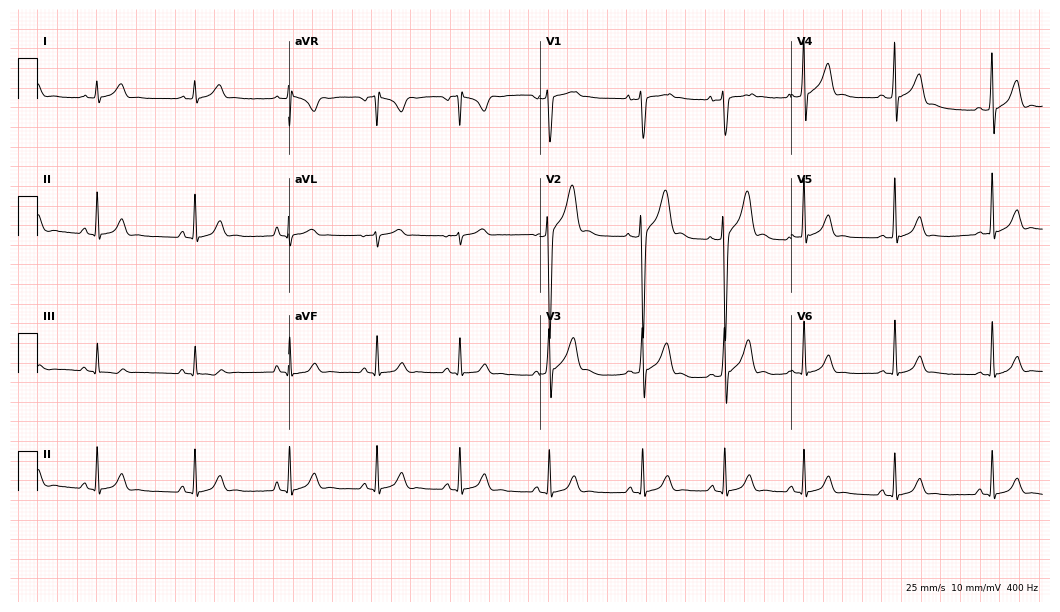
12-lead ECG from a 20-year-old man. Screened for six findings — first-degree AV block, right bundle branch block, left bundle branch block, sinus bradycardia, atrial fibrillation, sinus tachycardia — none is recorded.